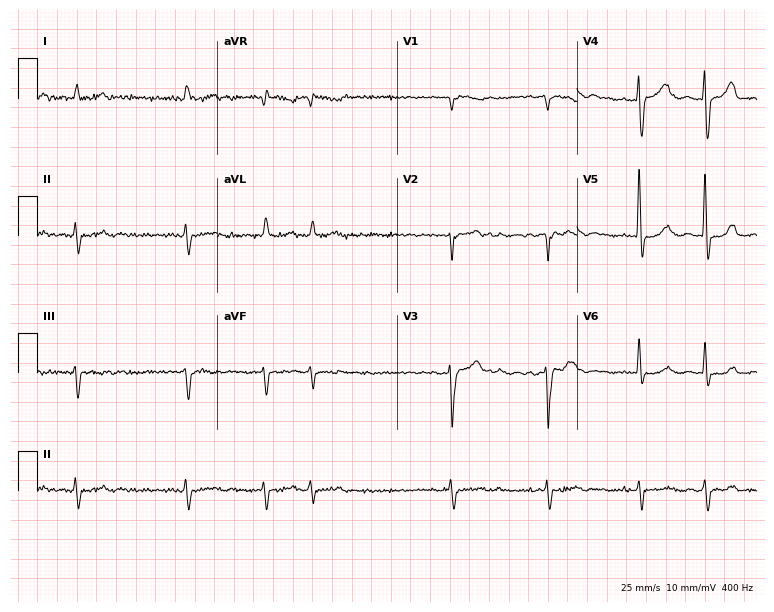
Resting 12-lead electrocardiogram. Patient: a man, 78 years old. The tracing shows atrial fibrillation (AF).